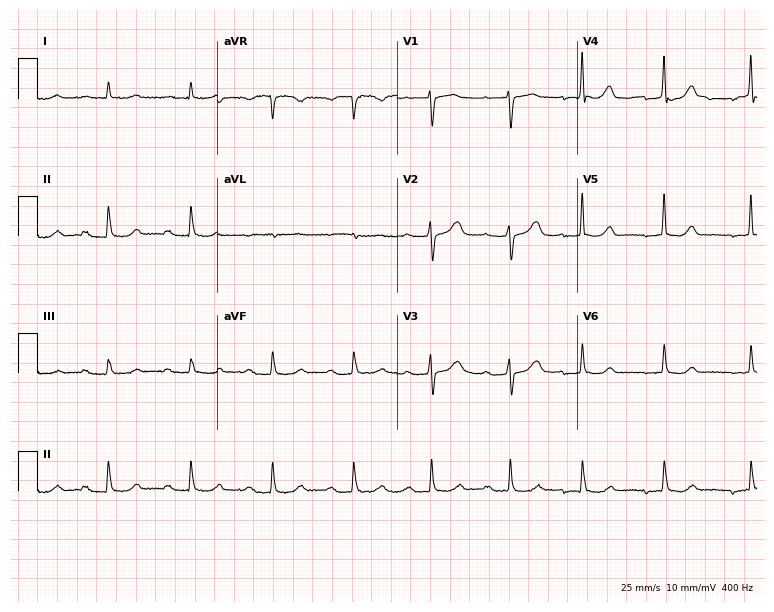
ECG — an 82-year-old woman. Findings include first-degree AV block.